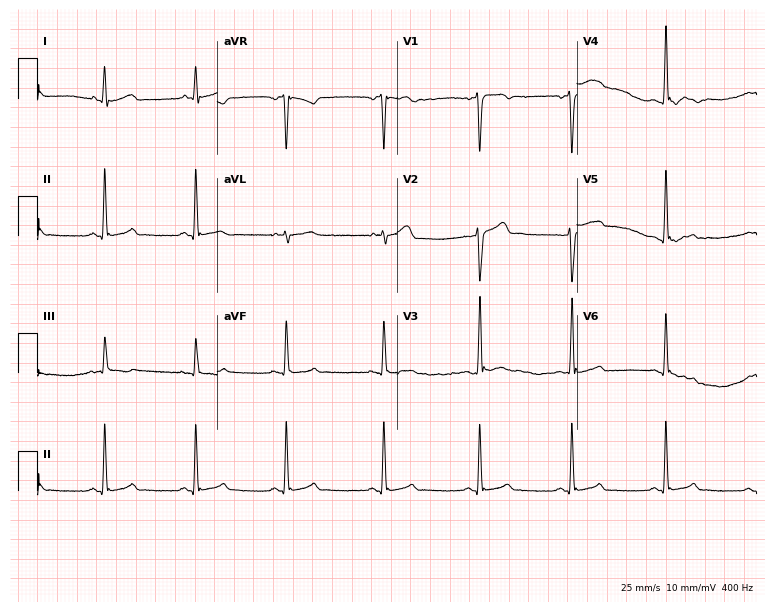
Standard 12-lead ECG recorded from a 24-year-old man (7.3-second recording at 400 Hz). Read as a normal ECG.